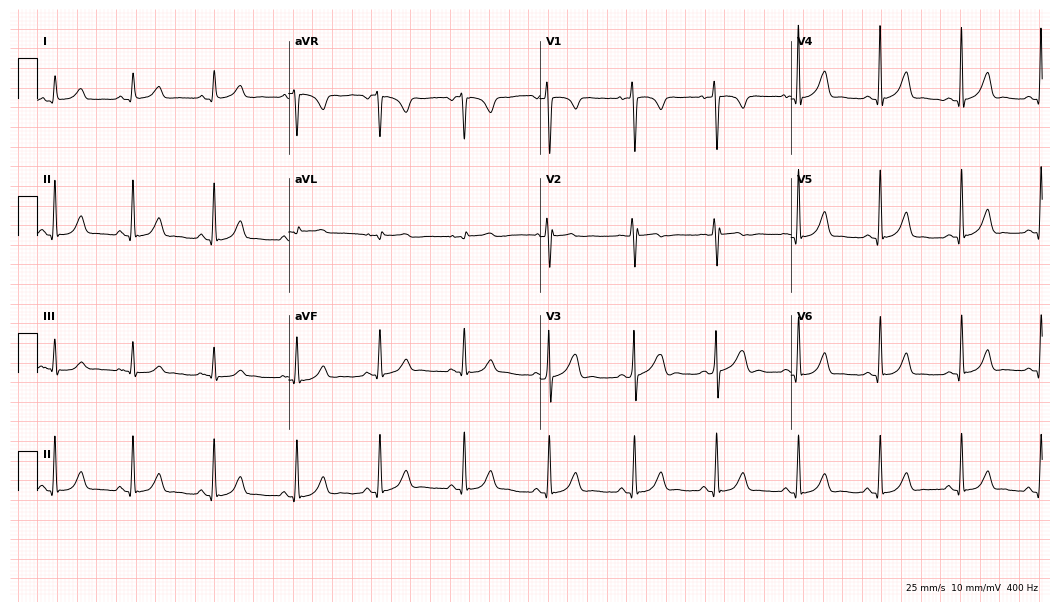
ECG (10.2-second recording at 400 Hz) — a female, 78 years old. Labelled as a normal ECG.